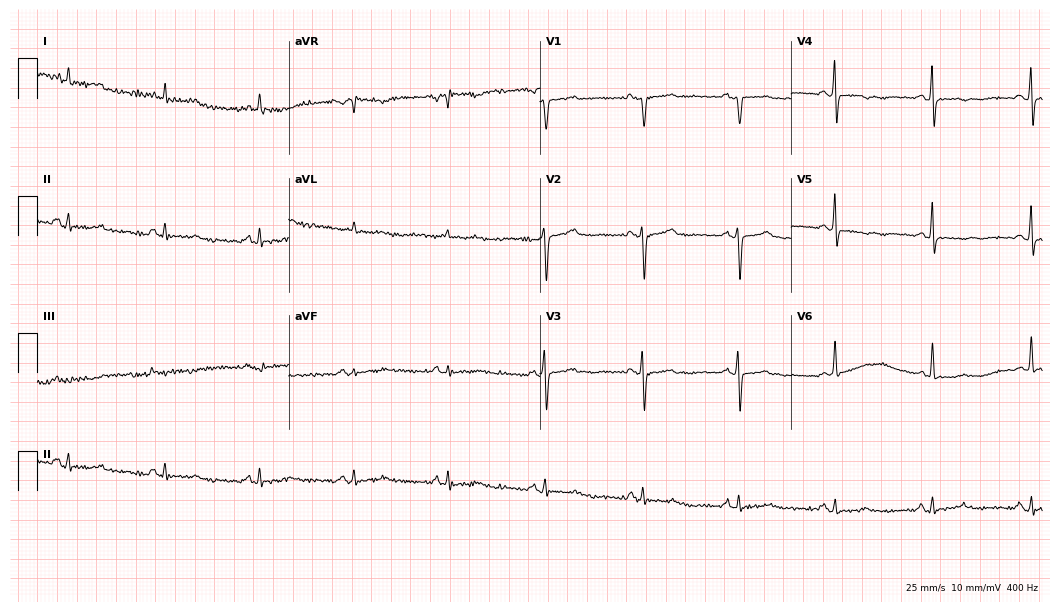
12-lead ECG from a 59-year-old female. No first-degree AV block, right bundle branch block, left bundle branch block, sinus bradycardia, atrial fibrillation or sinus tachycardia recorded for this tracing.